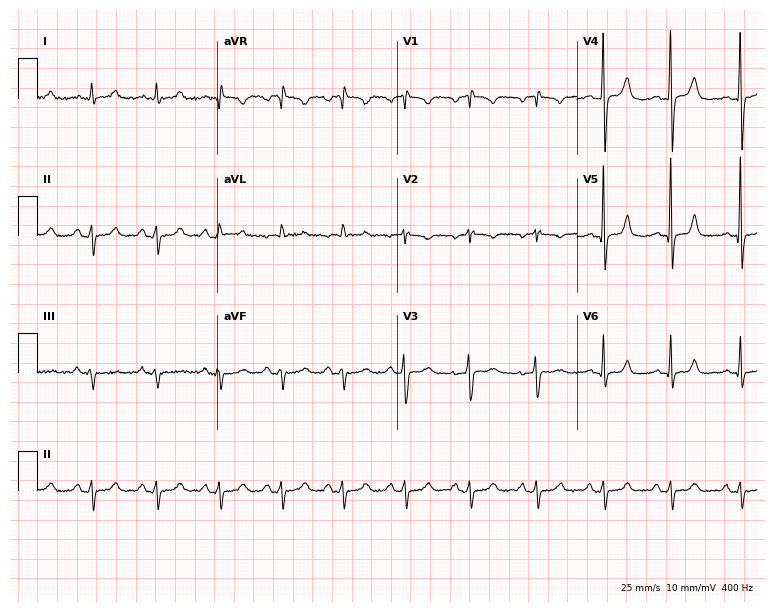
12-lead ECG from a male, 42 years old. Screened for six findings — first-degree AV block, right bundle branch block, left bundle branch block, sinus bradycardia, atrial fibrillation, sinus tachycardia — none is recorded. Only these six findings were labelled.